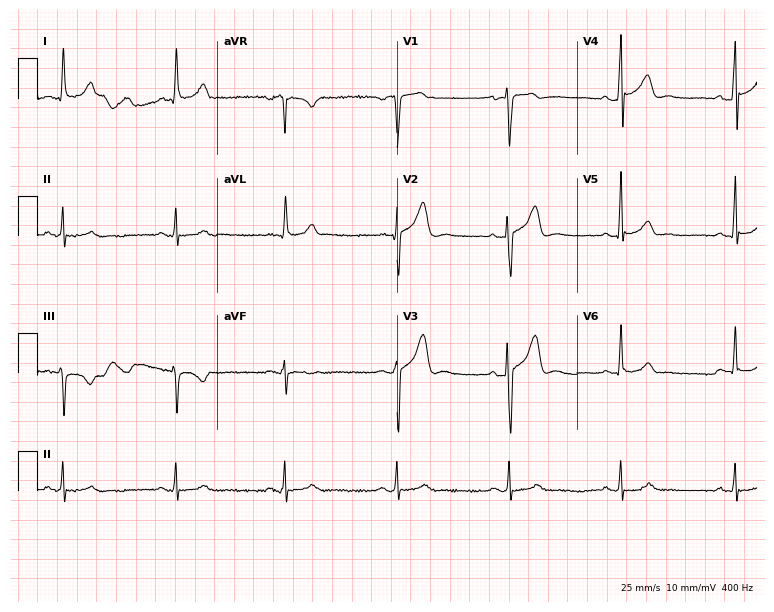
12-lead ECG from a male patient, 58 years old (7.3-second recording at 400 Hz). No first-degree AV block, right bundle branch block (RBBB), left bundle branch block (LBBB), sinus bradycardia, atrial fibrillation (AF) or sinus tachycardia recorded for this tracing.